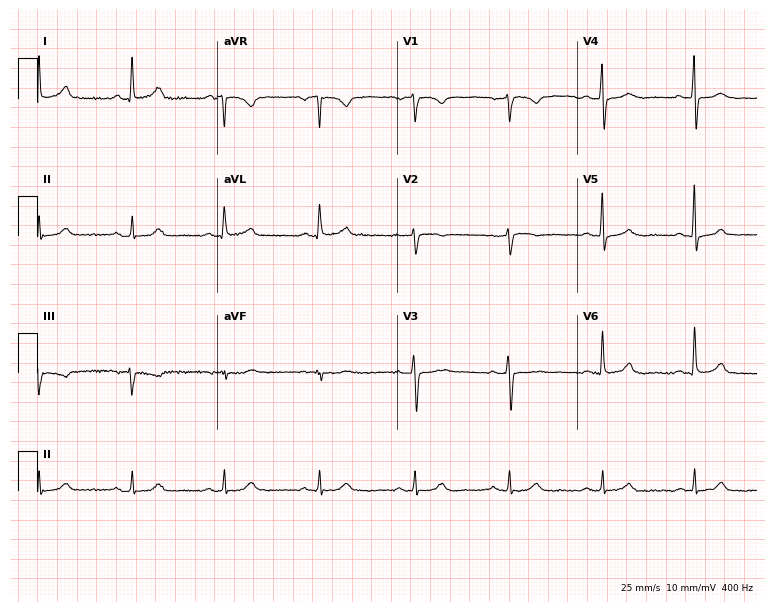
12-lead ECG (7.3-second recording at 400 Hz) from a 60-year-old female. Screened for six findings — first-degree AV block, right bundle branch block, left bundle branch block, sinus bradycardia, atrial fibrillation, sinus tachycardia — none is recorded.